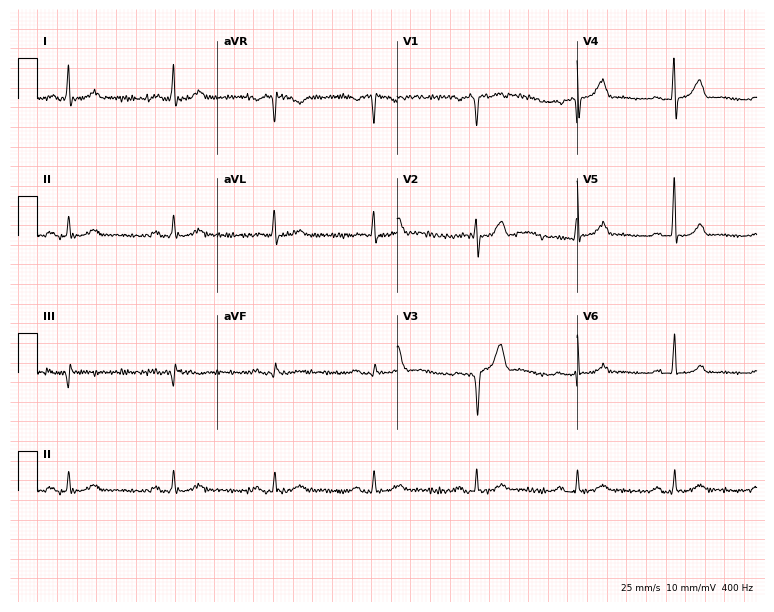
Standard 12-lead ECG recorded from a 62-year-old male (7.3-second recording at 400 Hz). Read as a normal ECG.